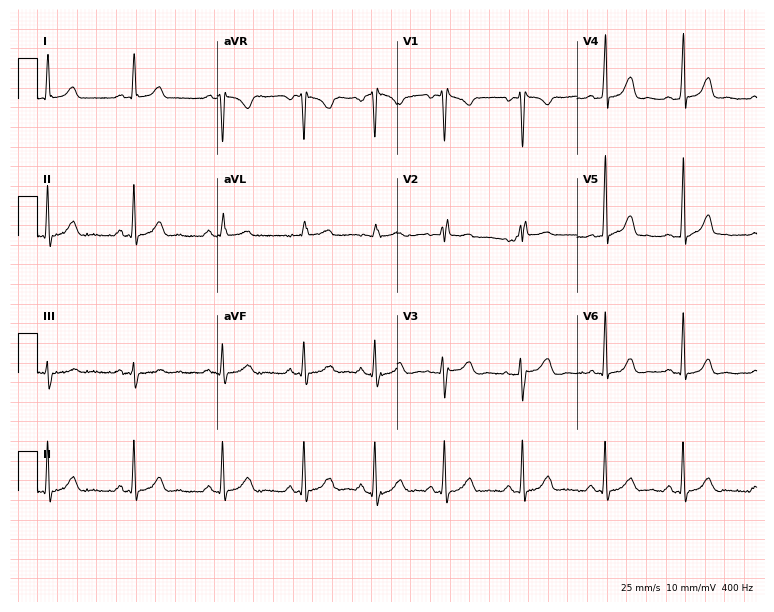
Standard 12-lead ECG recorded from a woman, 32 years old (7.3-second recording at 400 Hz). None of these six findings is recorded: first-degree AV block, right bundle branch block, left bundle branch block, sinus bradycardia, atrial fibrillation, sinus tachycardia.